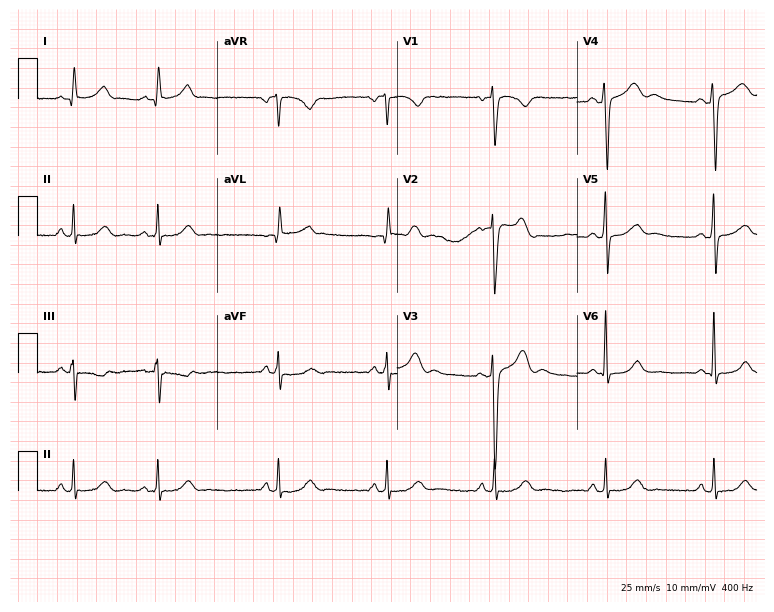
Resting 12-lead electrocardiogram. Patient: a male, 46 years old. None of these six findings is recorded: first-degree AV block, right bundle branch block (RBBB), left bundle branch block (LBBB), sinus bradycardia, atrial fibrillation (AF), sinus tachycardia.